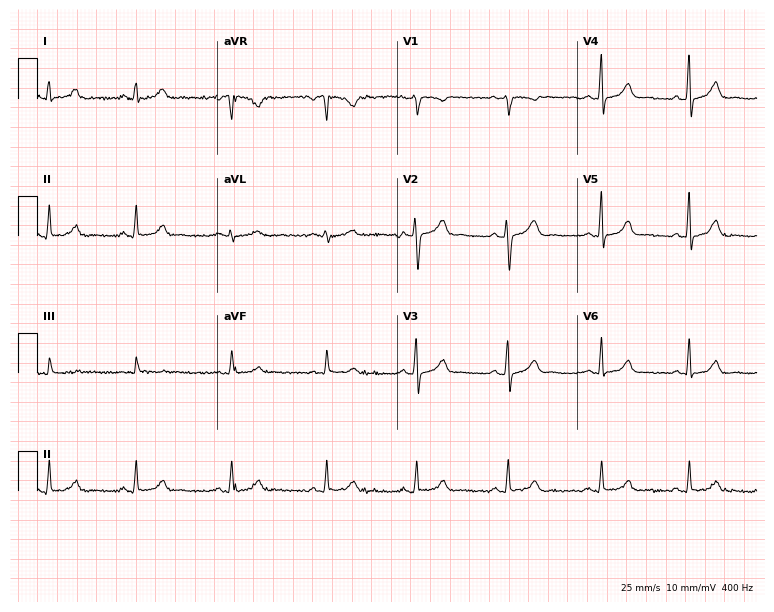
12-lead ECG from a 28-year-old female (7.3-second recording at 400 Hz). Recorded interpretation: within normal limits.